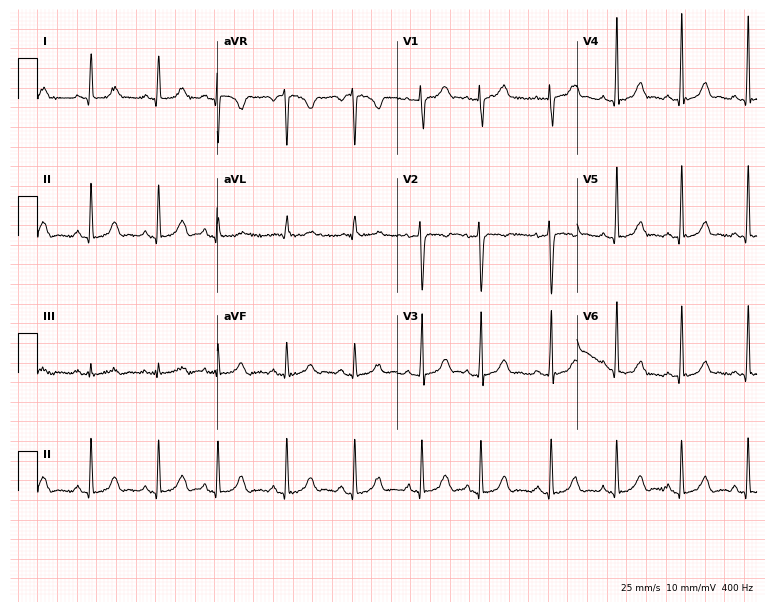
Standard 12-lead ECG recorded from a woman, 22 years old (7.3-second recording at 400 Hz). None of these six findings is recorded: first-degree AV block, right bundle branch block, left bundle branch block, sinus bradycardia, atrial fibrillation, sinus tachycardia.